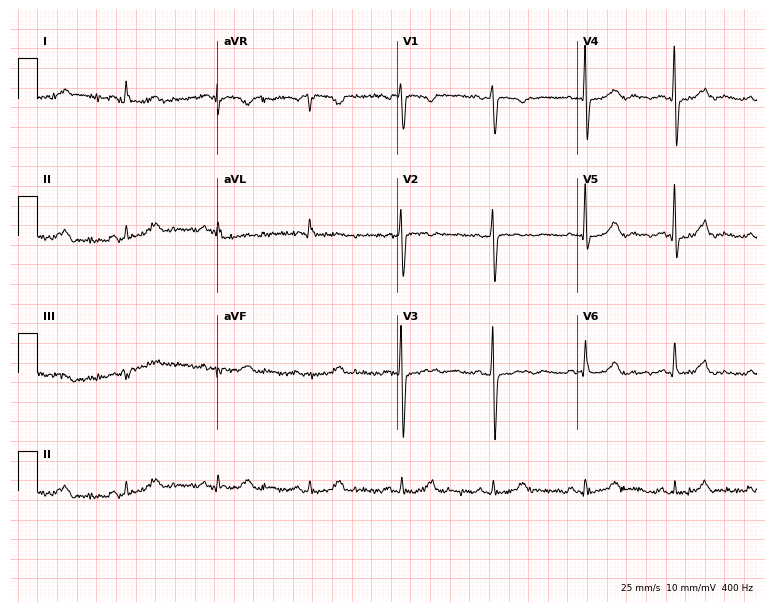
Resting 12-lead electrocardiogram. Patient: a man, 65 years old. Read as a normal ECG.